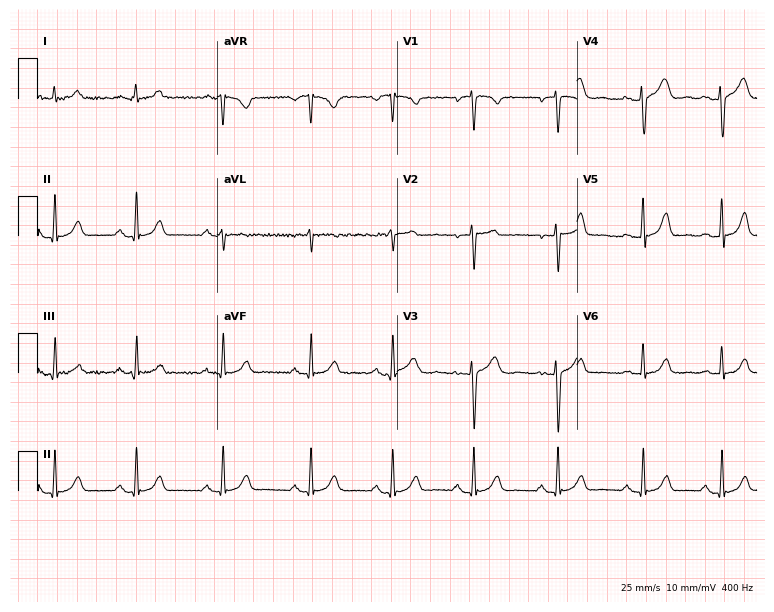
Electrocardiogram, a 33-year-old female. Of the six screened findings (first-degree AV block, right bundle branch block (RBBB), left bundle branch block (LBBB), sinus bradycardia, atrial fibrillation (AF), sinus tachycardia), none is recorded. Findings outside these six are not listed.